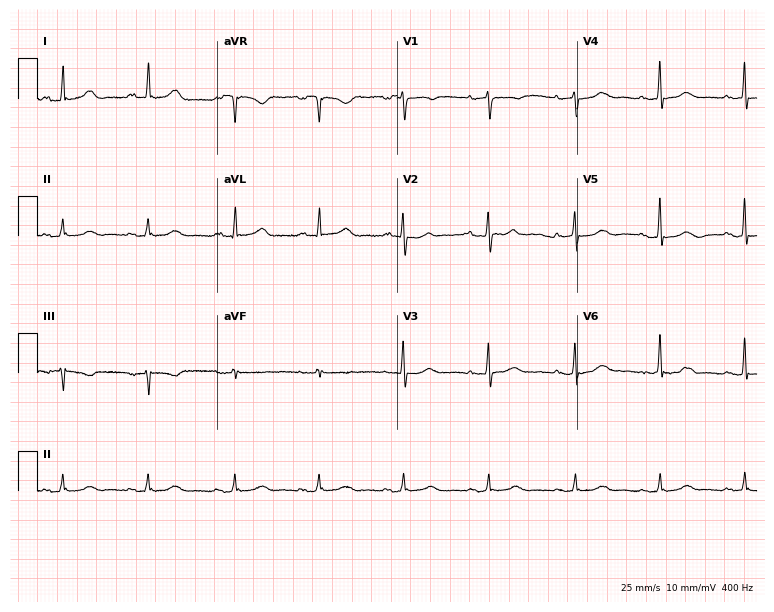
ECG — a female, 57 years old. Labelled as a normal ECG.